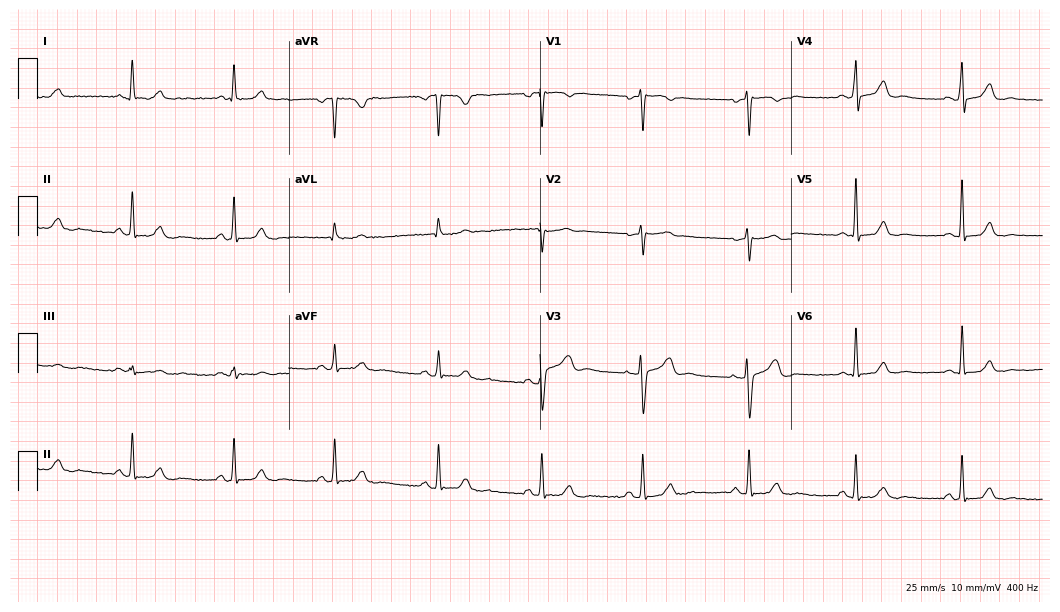
Standard 12-lead ECG recorded from a 54-year-old female (10.2-second recording at 400 Hz). None of these six findings is recorded: first-degree AV block, right bundle branch block (RBBB), left bundle branch block (LBBB), sinus bradycardia, atrial fibrillation (AF), sinus tachycardia.